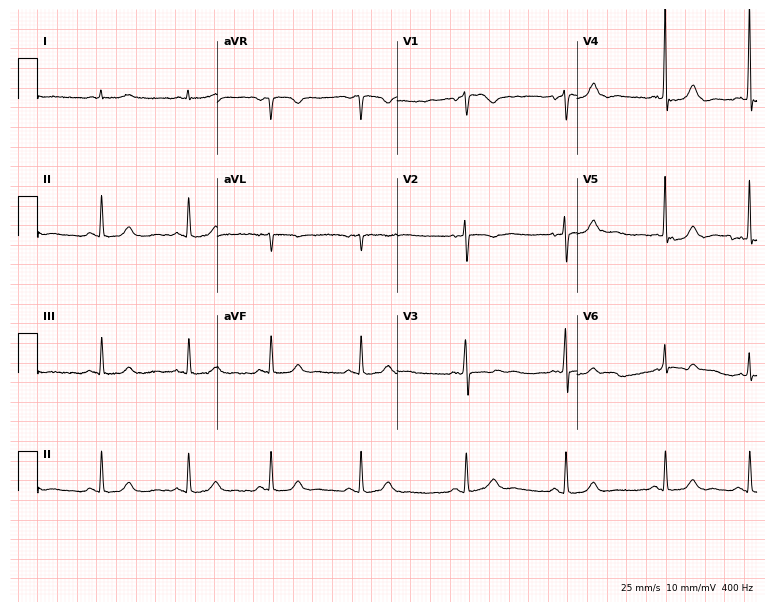
Resting 12-lead electrocardiogram. Patient: a woman, 55 years old. Read as a normal ECG.